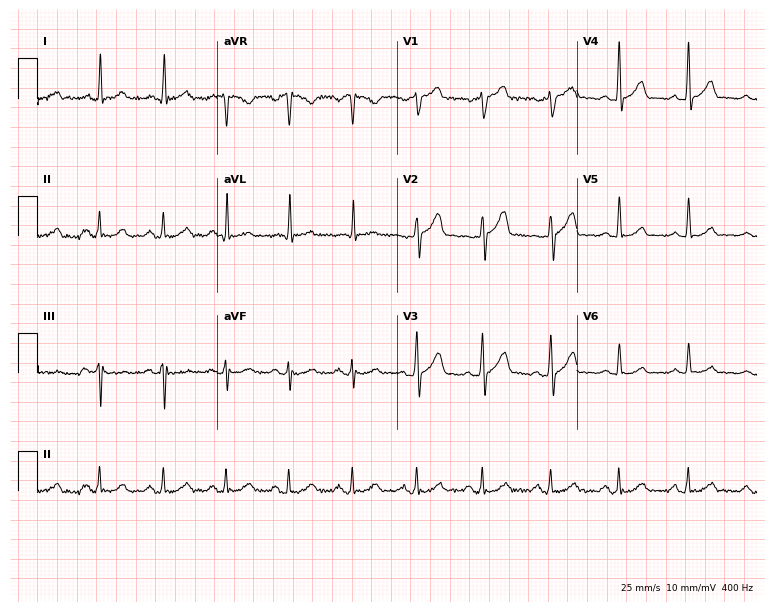
12-lead ECG (7.3-second recording at 400 Hz) from a 52-year-old male patient. Screened for six findings — first-degree AV block, right bundle branch block, left bundle branch block, sinus bradycardia, atrial fibrillation, sinus tachycardia — none is recorded.